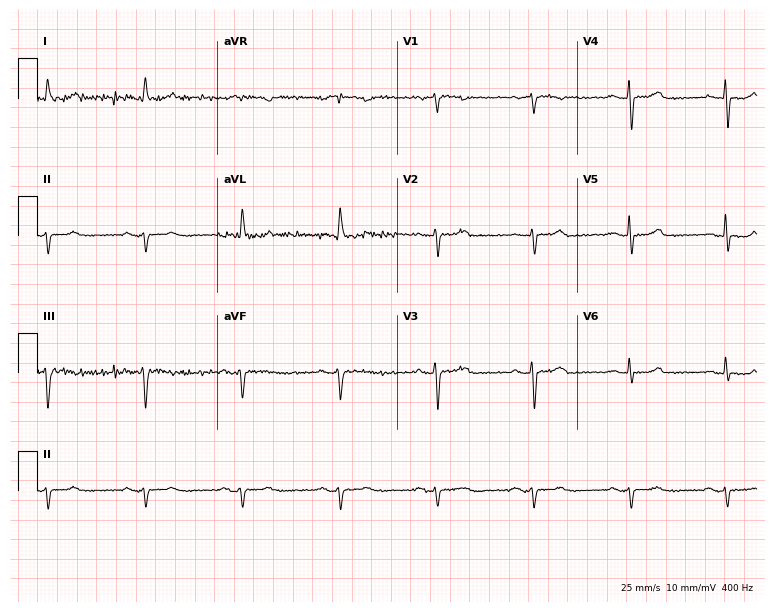
12-lead ECG from an 81-year-old man. Screened for six findings — first-degree AV block, right bundle branch block (RBBB), left bundle branch block (LBBB), sinus bradycardia, atrial fibrillation (AF), sinus tachycardia — none is recorded.